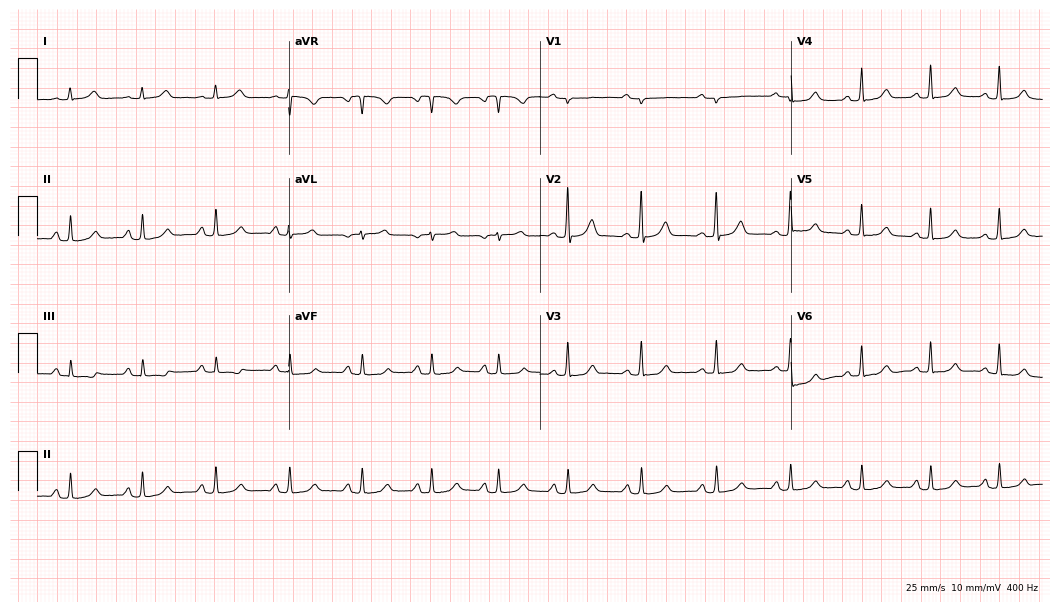
Standard 12-lead ECG recorded from a female, 45 years old (10.2-second recording at 400 Hz). None of these six findings is recorded: first-degree AV block, right bundle branch block (RBBB), left bundle branch block (LBBB), sinus bradycardia, atrial fibrillation (AF), sinus tachycardia. Findings outside these six are not listed.